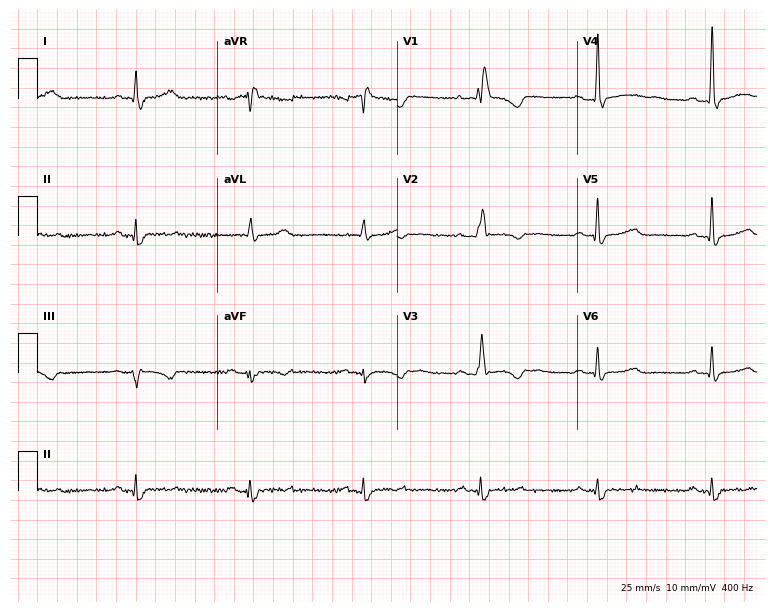
ECG — a female, 49 years old. Findings include right bundle branch block.